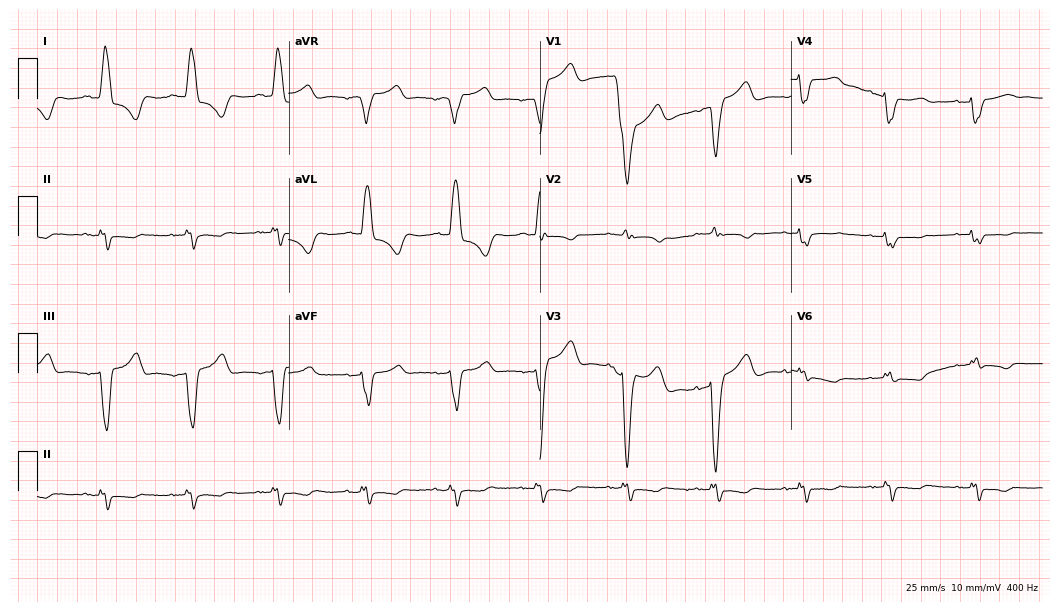
Standard 12-lead ECG recorded from a 78-year-old woman. The tracing shows left bundle branch block.